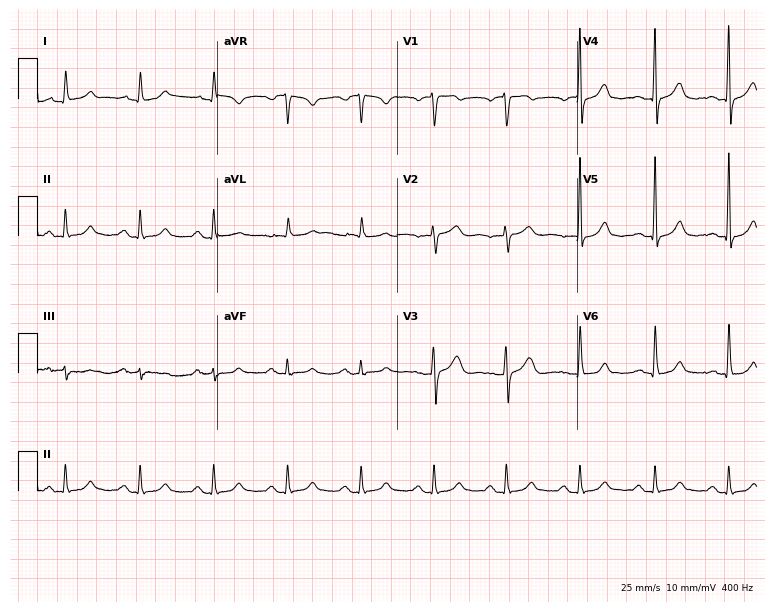
Electrocardiogram, a 62-year-old male patient. Of the six screened findings (first-degree AV block, right bundle branch block (RBBB), left bundle branch block (LBBB), sinus bradycardia, atrial fibrillation (AF), sinus tachycardia), none is recorded.